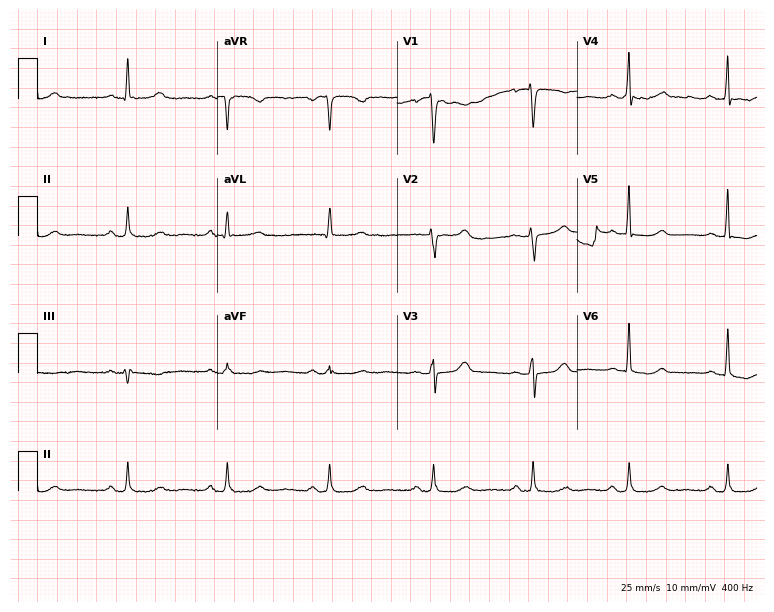
Standard 12-lead ECG recorded from a female, 55 years old. Read as a normal ECG.